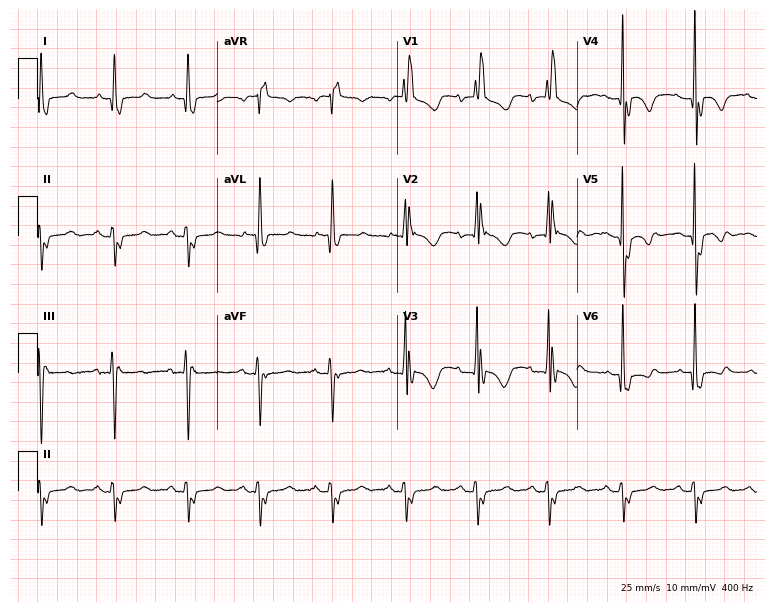
12-lead ECG from a 77-year-old woman (7.3-second recording at 400 Hz). Shows right bundle branch block.